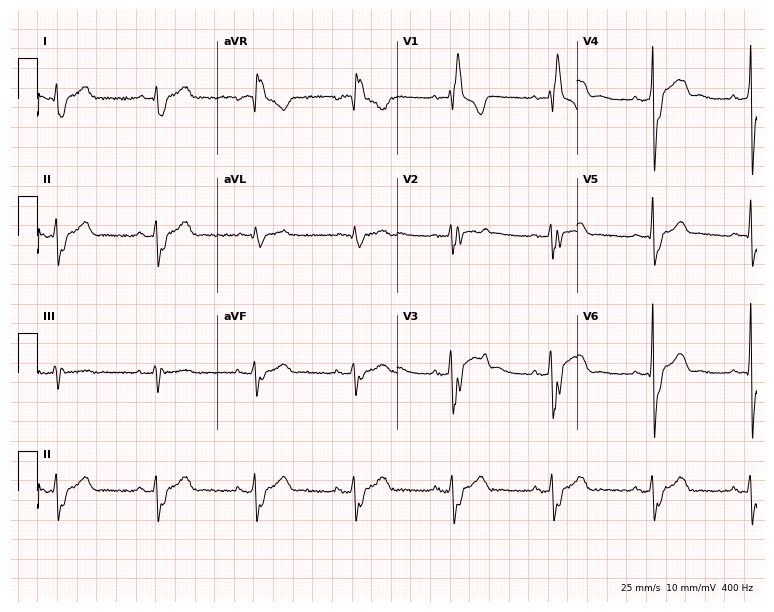
Electrocardiogram, a 53-year-old male patient. Interpretation includes right bundle branch block.